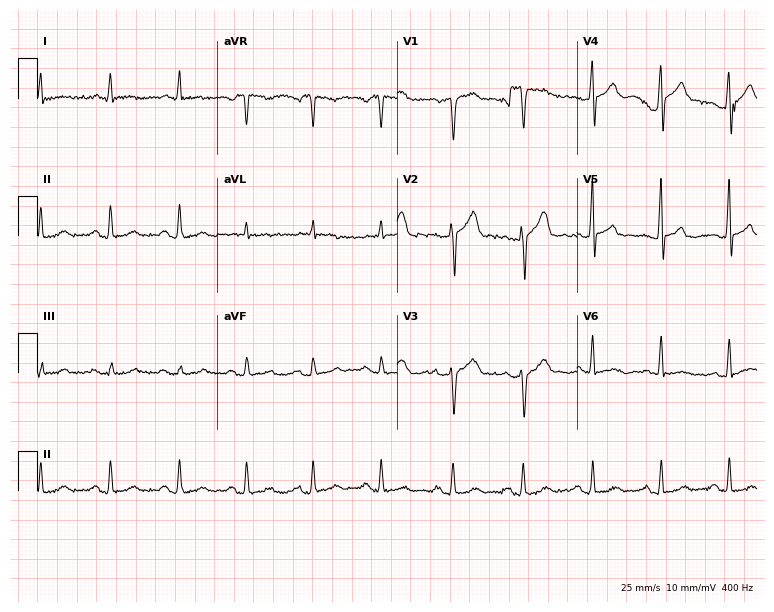
12-lead ECG from a 56-year-old male. Recorded interpretation: within normal limits.